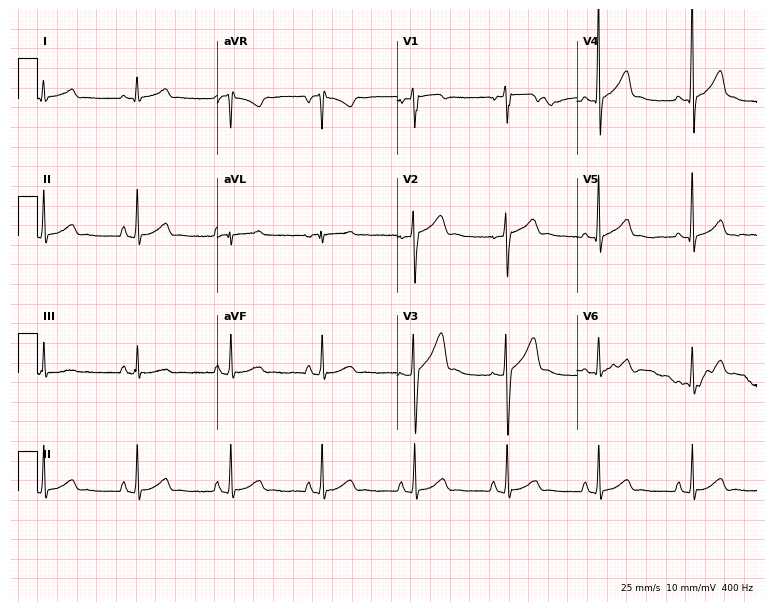
Standard 12-lead ECG recorded from a male patient, 17 years old. Read as a normal ECG.